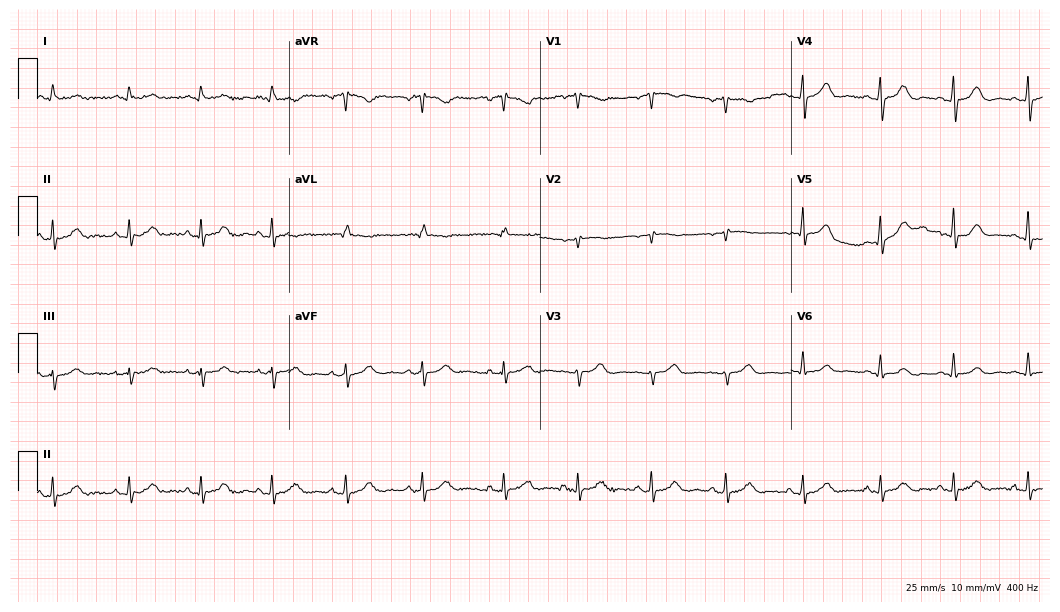
ECG — a 56-year-old female. Labelled as a normal ECG.